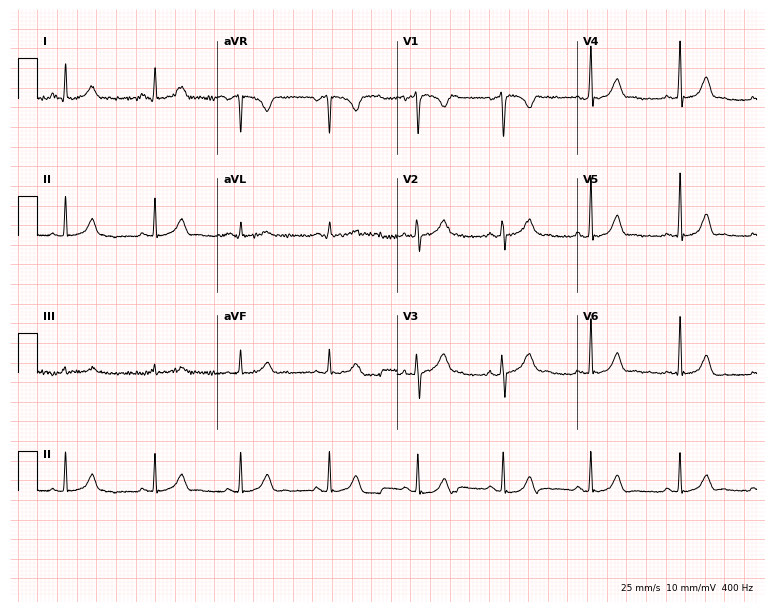
12-lead ECG from a 36-year-old female. No first-degree AV block, right bundle branch block, left bundle branch block, sinus bradycardia, atrial fibrillation or sinus tachycardia recorded for this tracing.